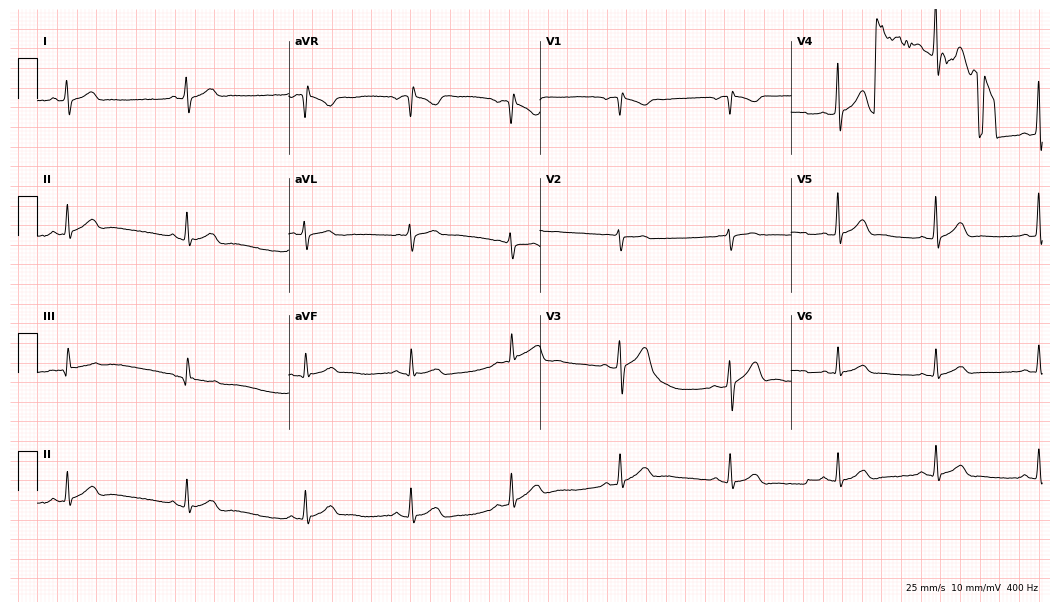
12-lead ECG from a 44-year-old male patient (10.2-second recording at 400 Hz). No first-degree AV block, right bundle branch block, left bundle branch block, sinus bradycardia, atrial fibrillation or sinus tachycardia recorded for this tracing. Only these six findings were labelled.